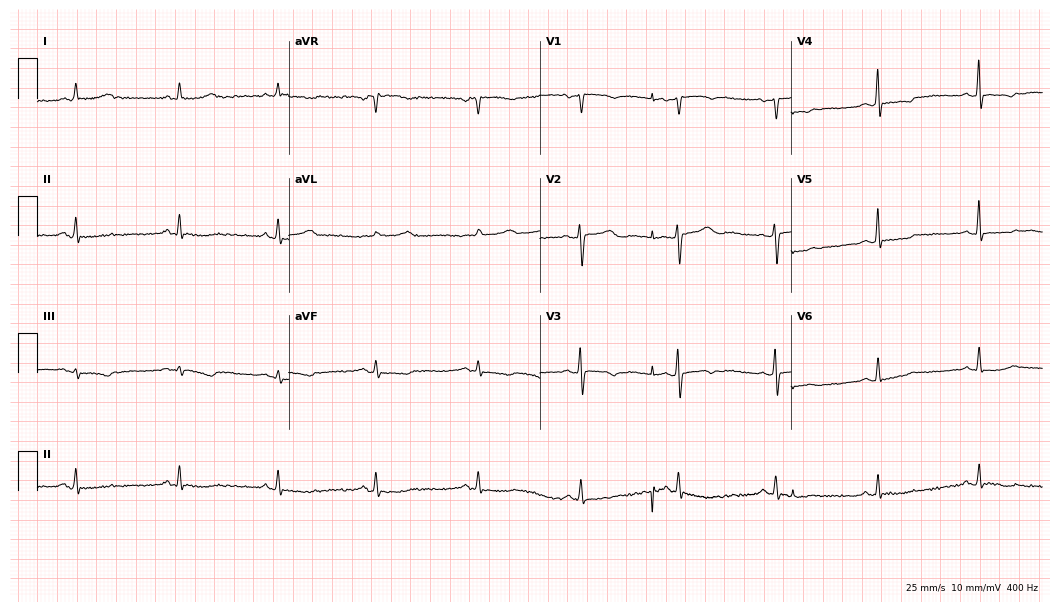
Standard 12-lead ECG recorded from a 53-year-old female (10.2-second recording at 400 Hz). None of these six findings is recorded: first-degree AV block, right bundle branch block, left bundle branch block, sinus bradycardia, atrial fibrillation, sinus tachycardia.